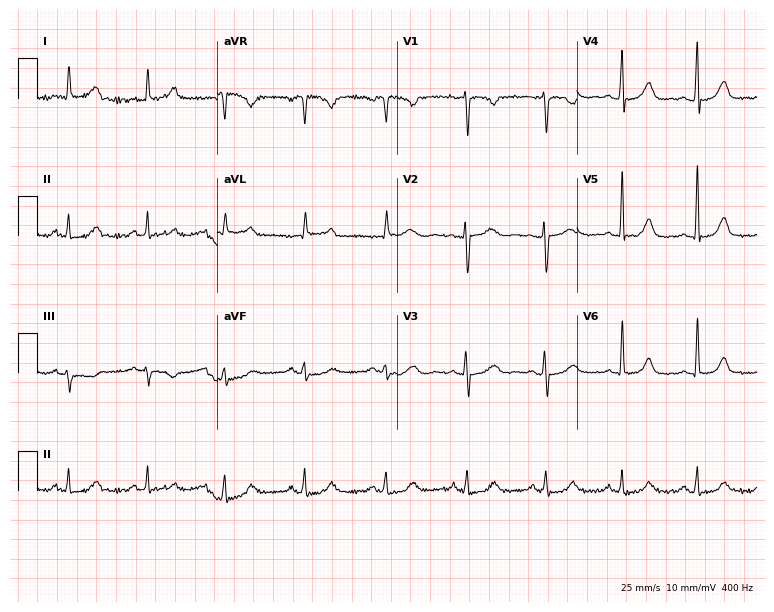
12-lead ECG from a woman, 50 years old. No first-degree AV block, right bundle branch block (RBBB), left bundle branch block (LBBB), sinus bradycardia, atrial fibrillation (AF) or sinus tachycardia recorded for this tracing. Only these six findings were labelled.